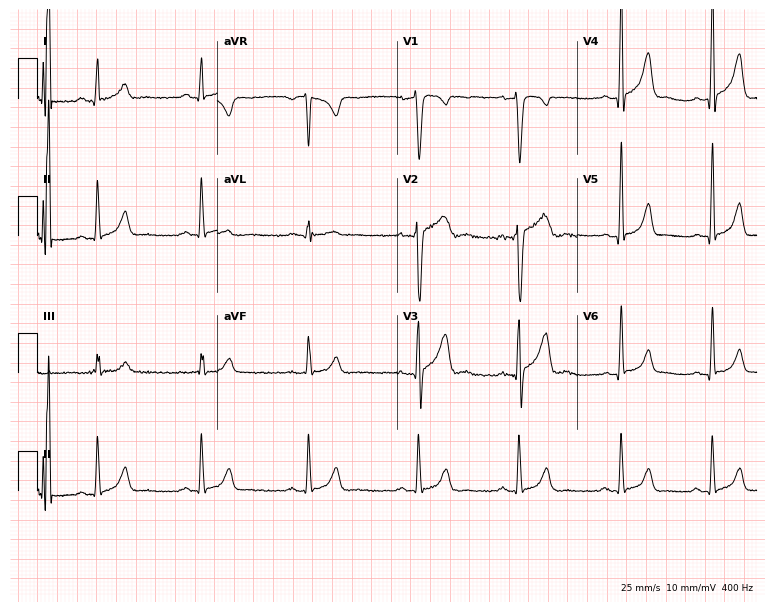
12-lead ECG from a 31-year-old male patient (7.3-second recording at 400 Hz). No first-degree AV block, right bundle branch block, left bundle branch block, sinus bradycardia, atrial fibrillation or sinus tachycardia recorded for this tracing. Other findings, if any, are not listed.